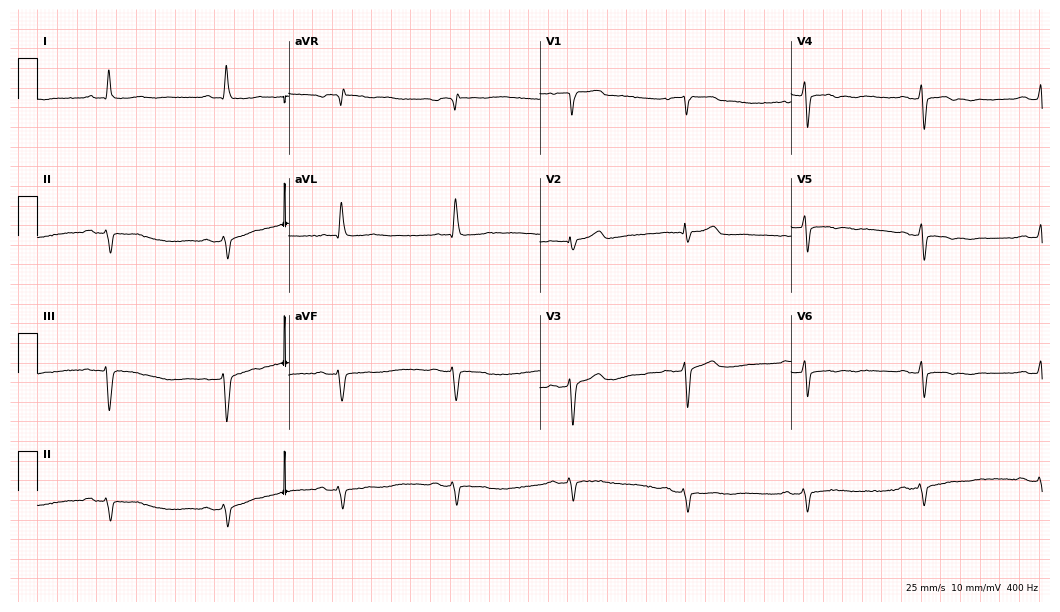
12-lead ECG from a man, 84 years old (10.2-second recording at 400 Hz). No first-degree AV block, right bundle branch block (RBBB), left bundle branch block (LBBB), sinus bradycardia, atrial fibrillation (AF) or sinus tachycardia recorded for this tracing.